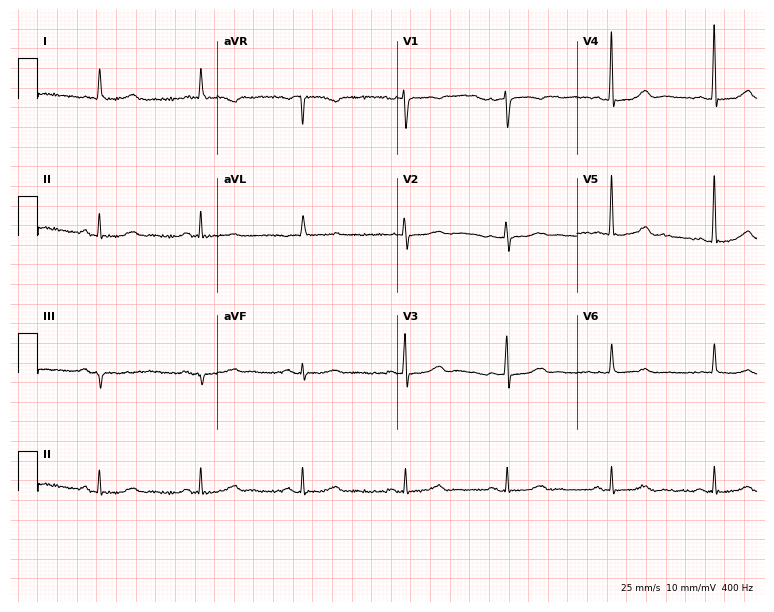
12-lead ECG (7.3-second recording at 400 Hz) from an 85-year-old female patient. Screened for six findings — first-degree AV block, right bundle branch block (RBBB), left bundle branch block (LBBB), sinus bradycardia, atrial fibrillation (AF), sinus tachycardia — none is recorded. Only these six findings were labelled.